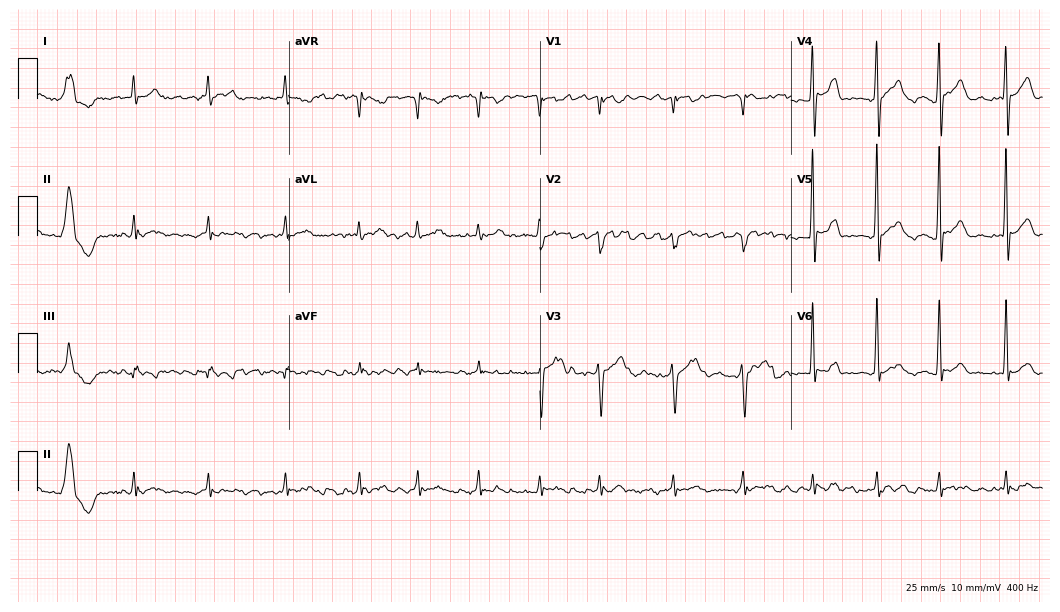
Standard 12-lead ECG recorded from a 31-year-old male. The tracing shows atrial fibrillation (AF).